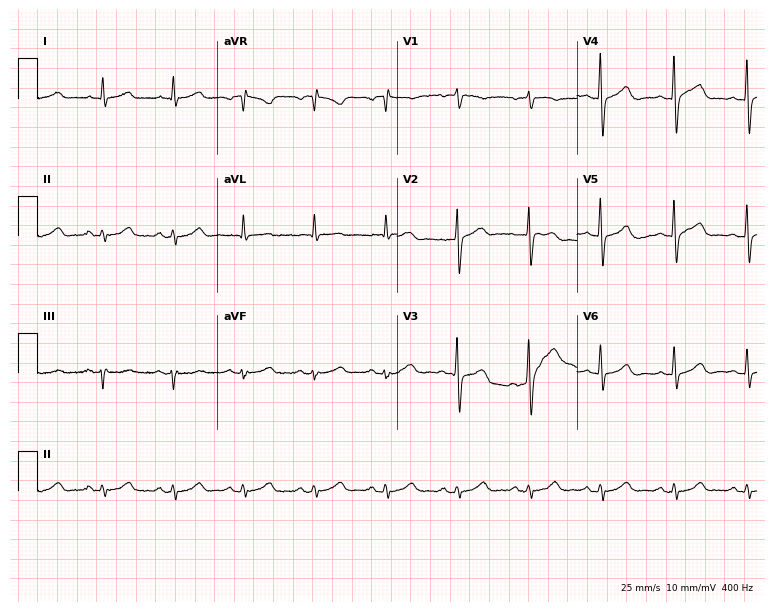
Resting 12-lead electrocardiogram (7.3-second recording at 400 Hz). Patient: a man, 66 years old. None of these six findings is recorded: first-degree AV block, right bundle branch block, left bundle branch block, sinus bradycardia, atrial fibrillation, sinus tachycardia. Other findings, if any, are not listed.